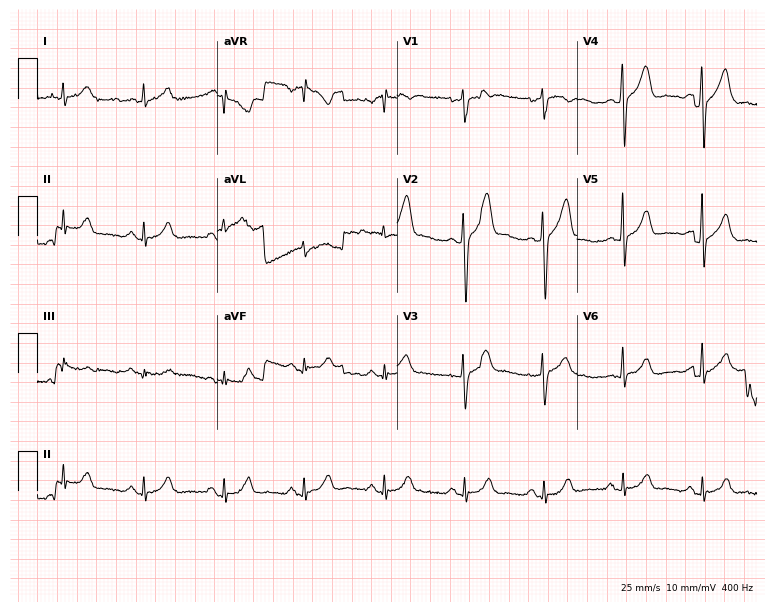
Electrocardiogram (7.3-second recording at 400 Hz), a male patient, 60 years old. Overall reading on record: normal ECG.